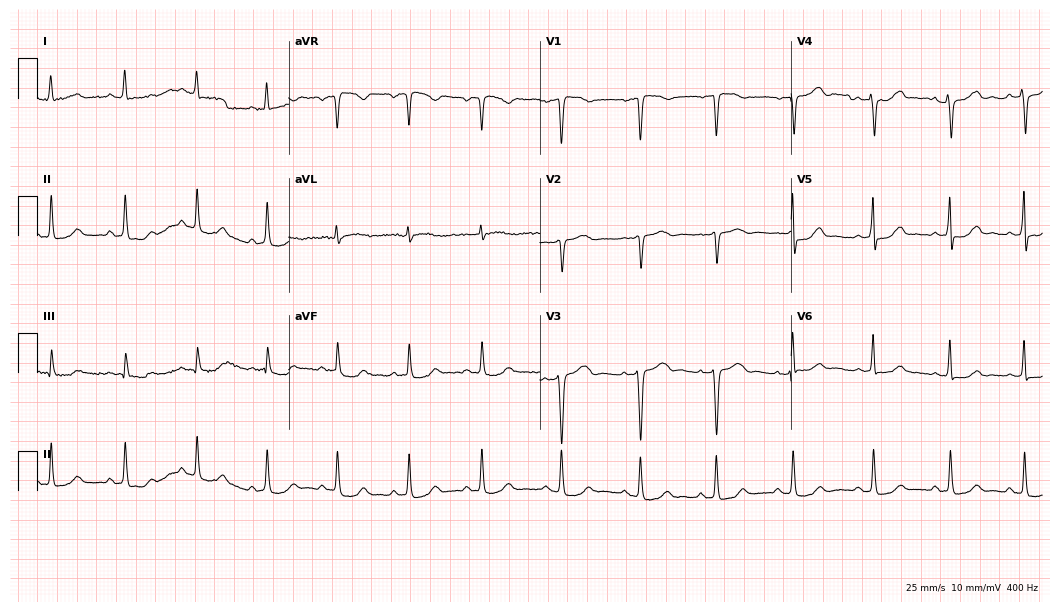
Electrocardiogram (10.2-second recording at 400 Hz), a 42-year-old female patient. Overall reading on record: normal ECG.